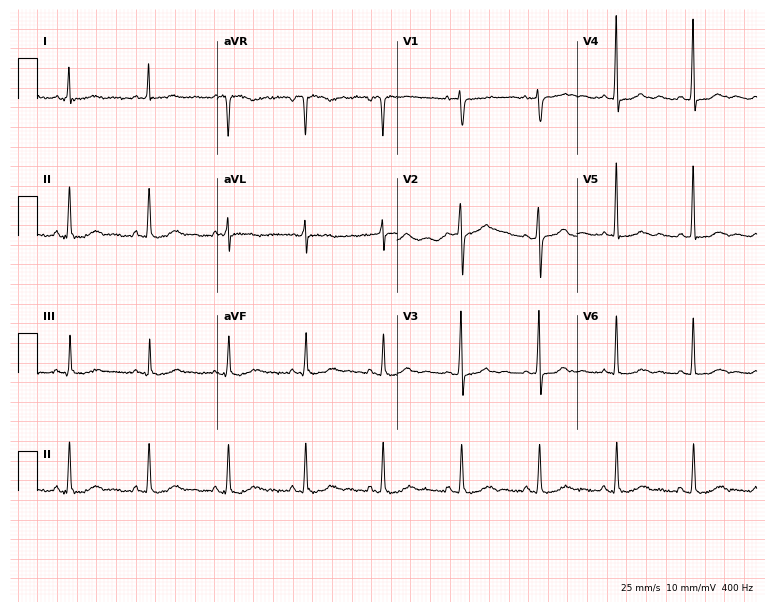
Standard 12-lead ECG recorded from a 57-year-old female. None of these six findings is recorded: first-degree AV block, right bundle branch block (RBBB), left bundle branch block (LBBB), sinus bradycardia, atrial fibrillation (AF), sinus tachycardia. Only these six findings were labelled.